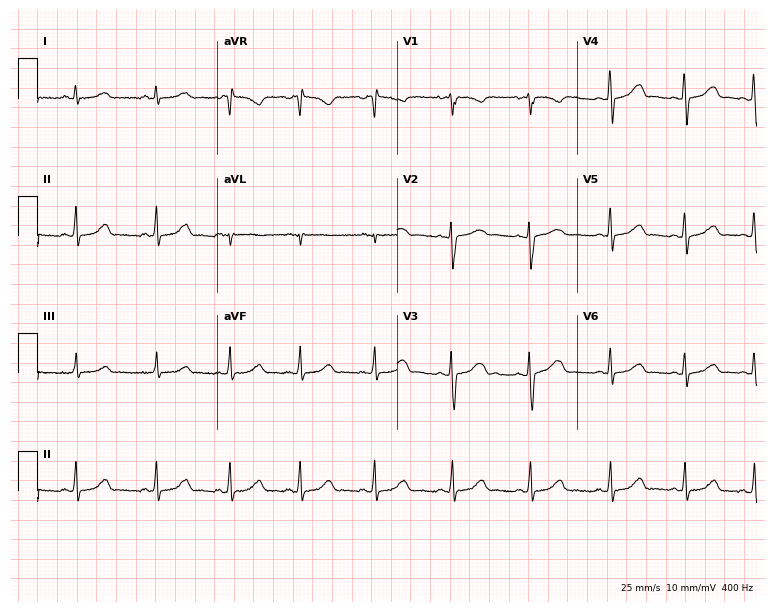
Resting 12-lead electrocardiogram. Patient: a 28-year-old female. Read as a normal ECG.